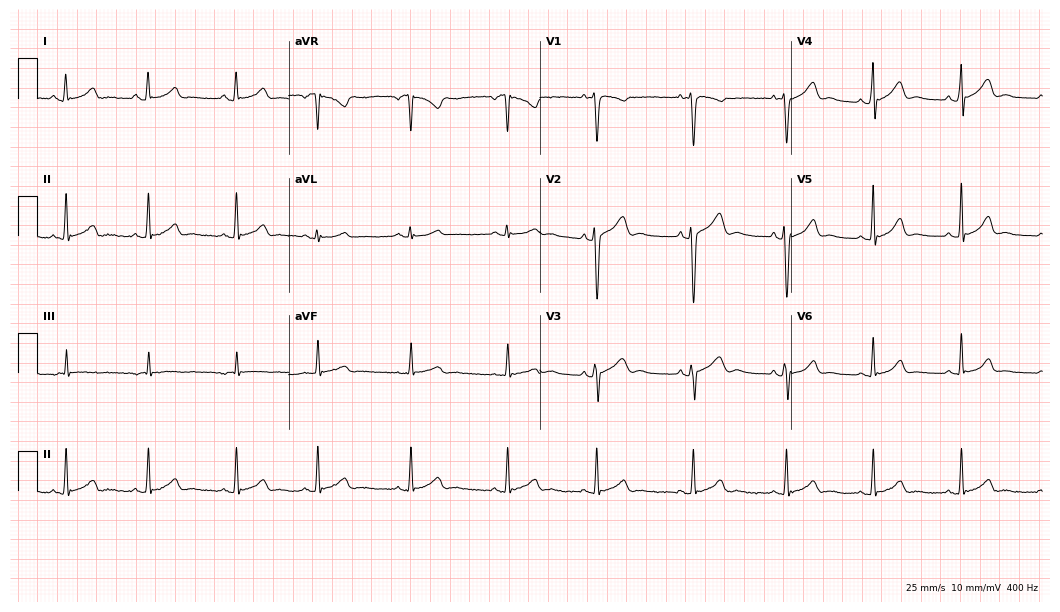
12-lead ECG from a woman, 19 years old (10.2-second recording at 400 Hz). Recorded interpretation: within normal limits.